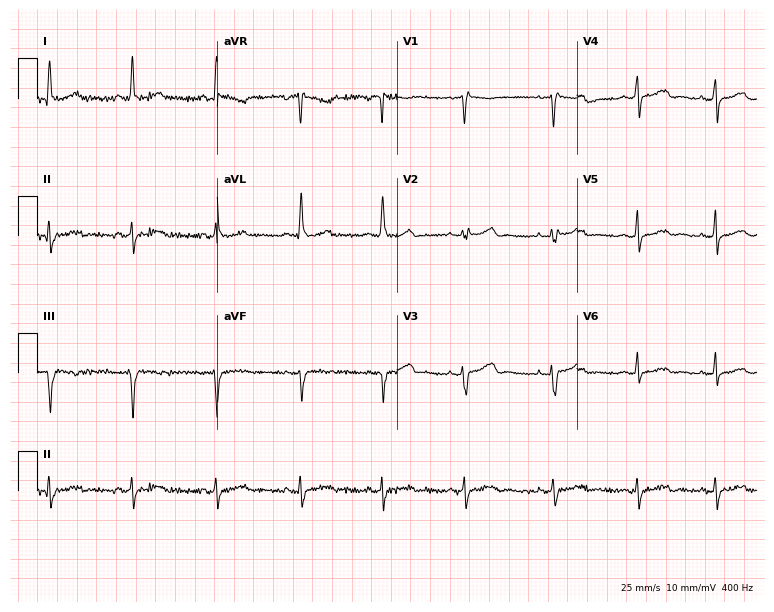
Standard 12-lead ECG recorded from a female, 39 years old. None of these six findings is recorded: first-degree AV block, right bundle branch block, left bundle branch block, sinus bradycardia, atrial fibrillation, sinus tachycardia. Findings outside these six are not listed.